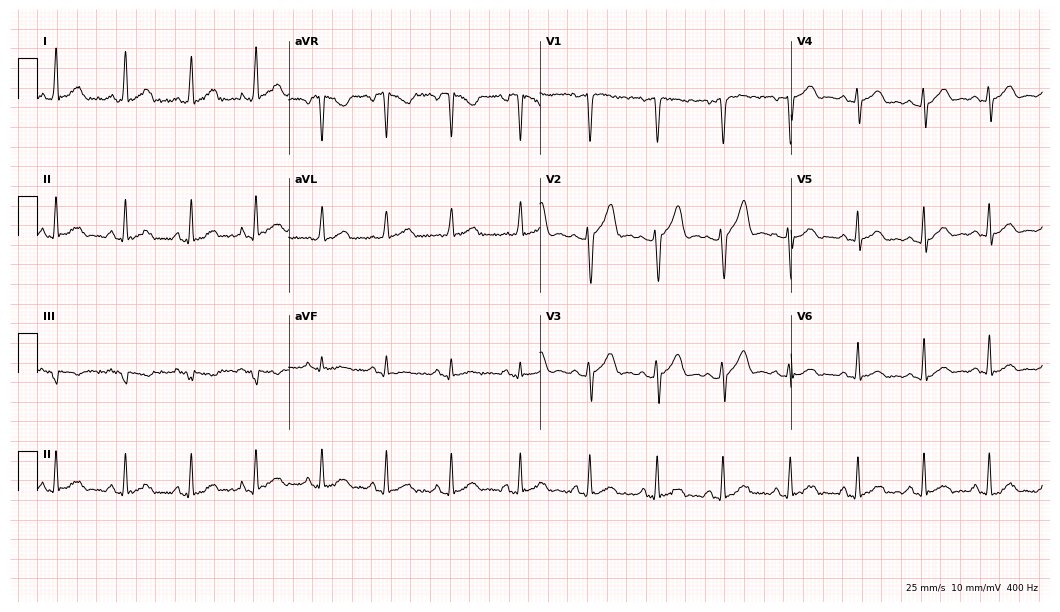
Standard 12-lead ECG recorded from a male, 23 years old. Read as a normal ECG.